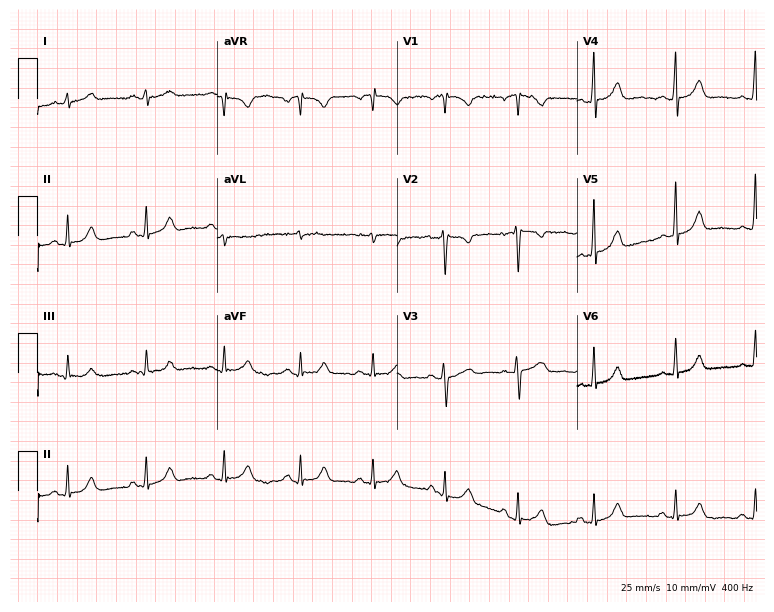
ECG — a 39-year-old female. Labelled as a normal ECG.